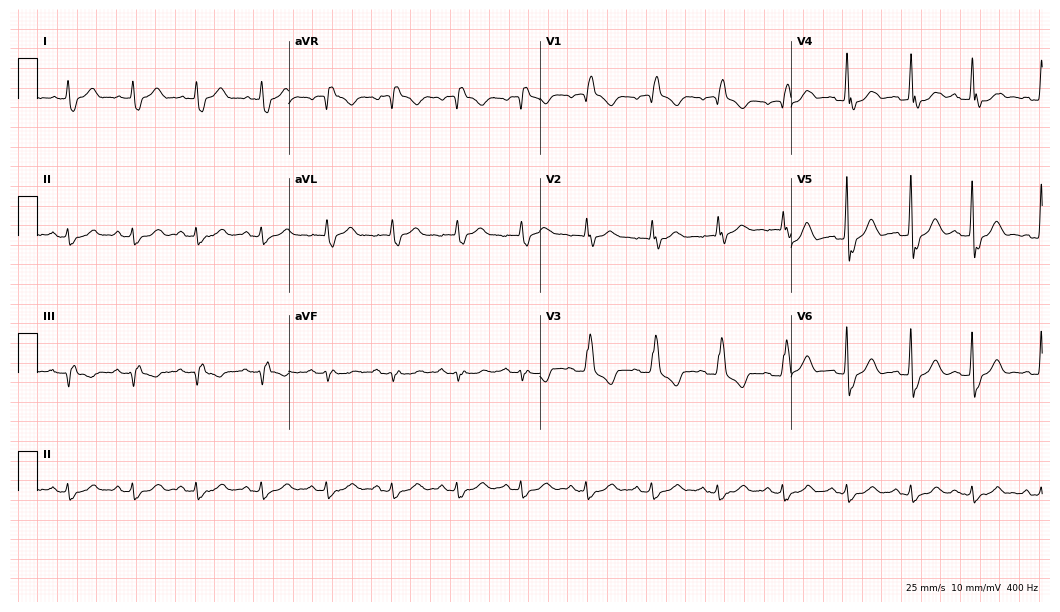
Resting 12-lead electrocardiogram. Patient: an 86-year-old woman. The tracing shows right bundle branch block.